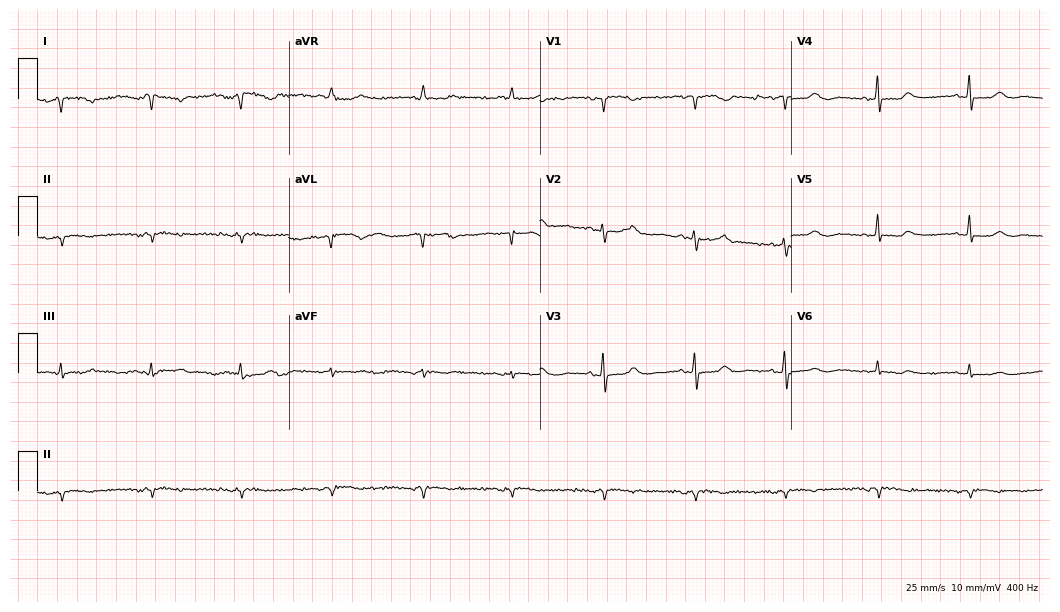
Resting 12-lead electrocardiogram (10.2-second recording at 400 Hz). Patient: a woman, 85 years old. None of these six findings is recorded: first-degree AV block, right bundle branch block, left bundle branch block, sinus bradycardia, atrial fibrillation, sinus tachycardia.